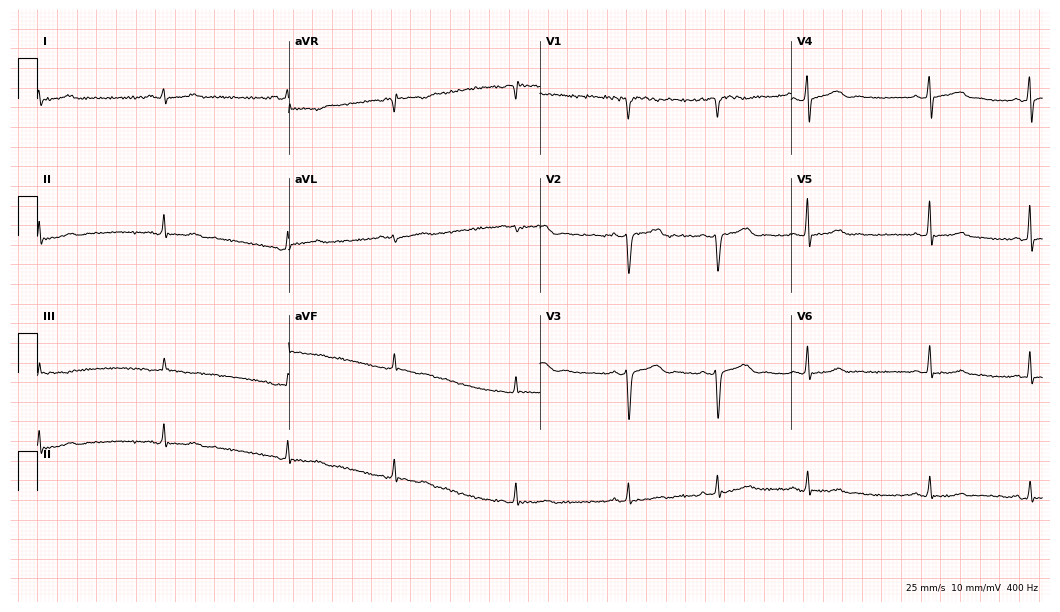
Electrocardiogram (10.2-second recording at 400 Hz), a 30-year-old woman. Overall reading on record: normal ECG.